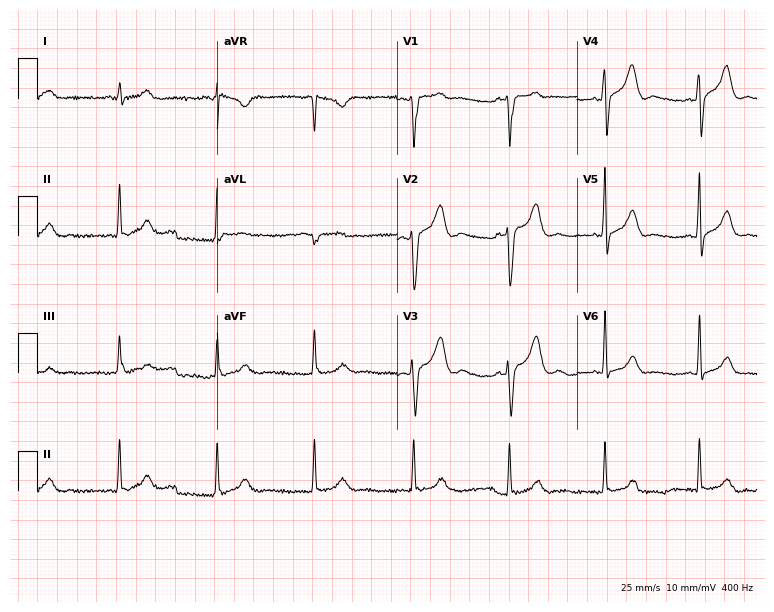
Electrocardiogram, a male, 44 years old. Of the six screened findings (first-degree AV block, right bundle branch block, left bundle branch block, sinus bradycardia, atrial fibrillation, sinus tachycardia), none is recorded.